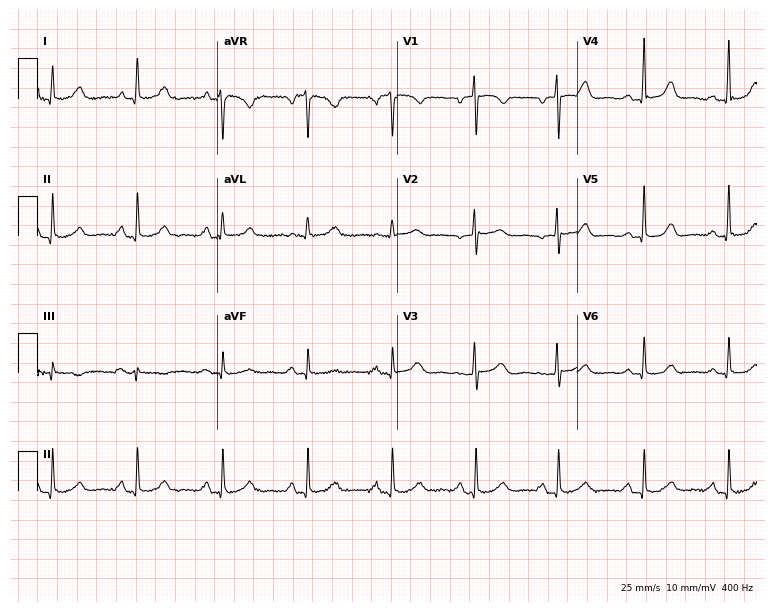
12-lead ECG from a 76-year-old woman. Screened for six findings — first-degree AV block, right bundle branch block, left bundle branch block, sinus bradycardia, atrial fibrillation, sinus tachycardia — none is recorded.